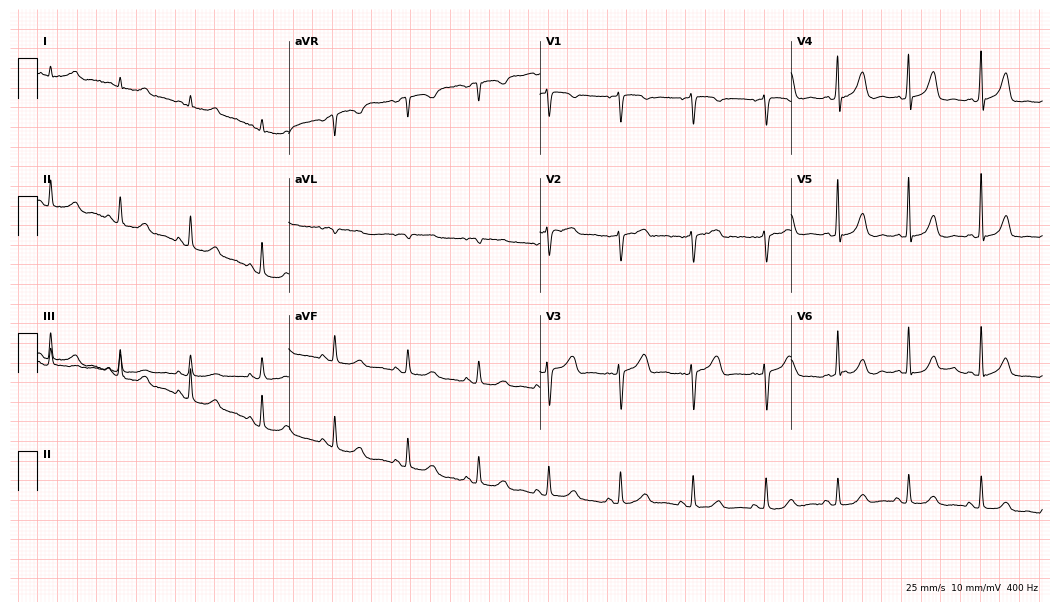
Resting 12-lead electrocardiogram (10.2-second recording at 400 Hz). Patient: a female, 53 years old. None of these six findings is recorded: first-degree AV block, right bundle branch block, left bundle branch block, sinus bradycardia, atrial fibrillation, sinus tachycardia. Only these six findings were labelled.